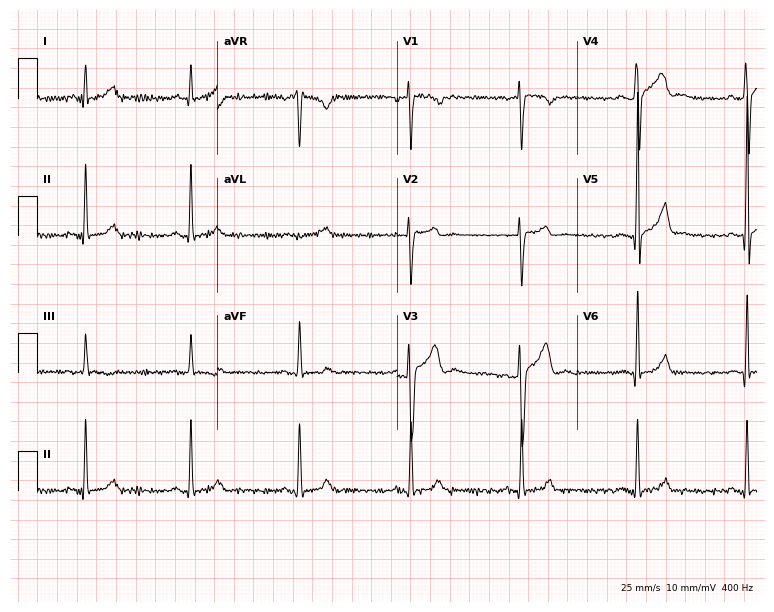
Electrocardiogram (7.3-second recording at 400 Hz), a man, 28 years old. Overall reading on record: normal ECG.